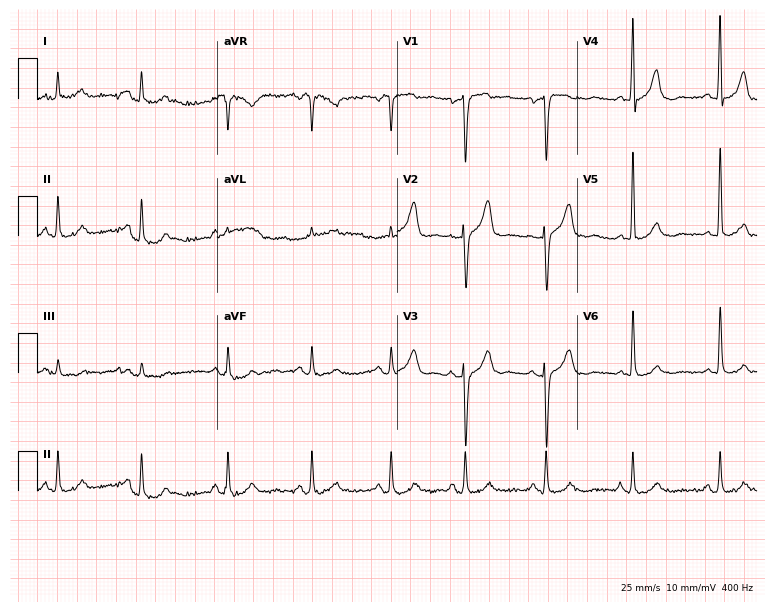
12-lead ECG from a 59-year-old male patient (7.3-second recording at 400 Hz). Recorded interpretation: within normal limits.